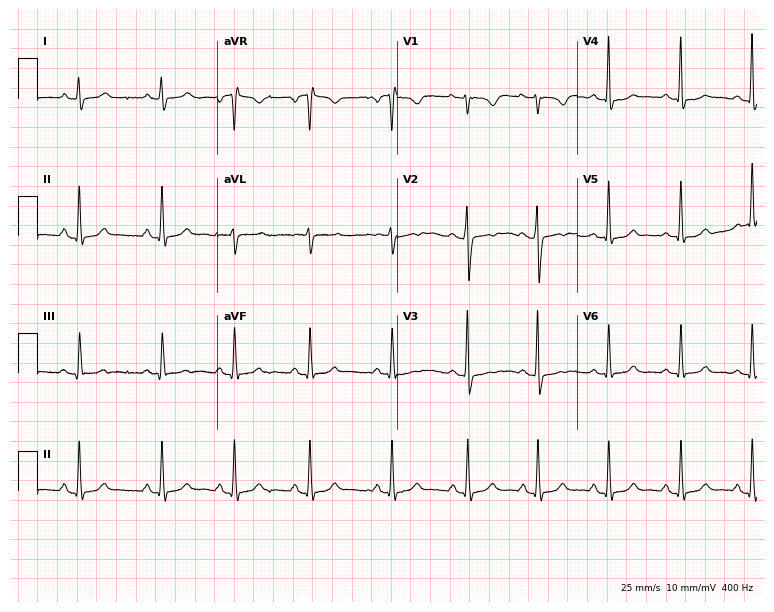
Standard 12-lead ECG recorded from a woman, 18 years old (7.3-second recording at 400 Hz). Read as a normal ECG.